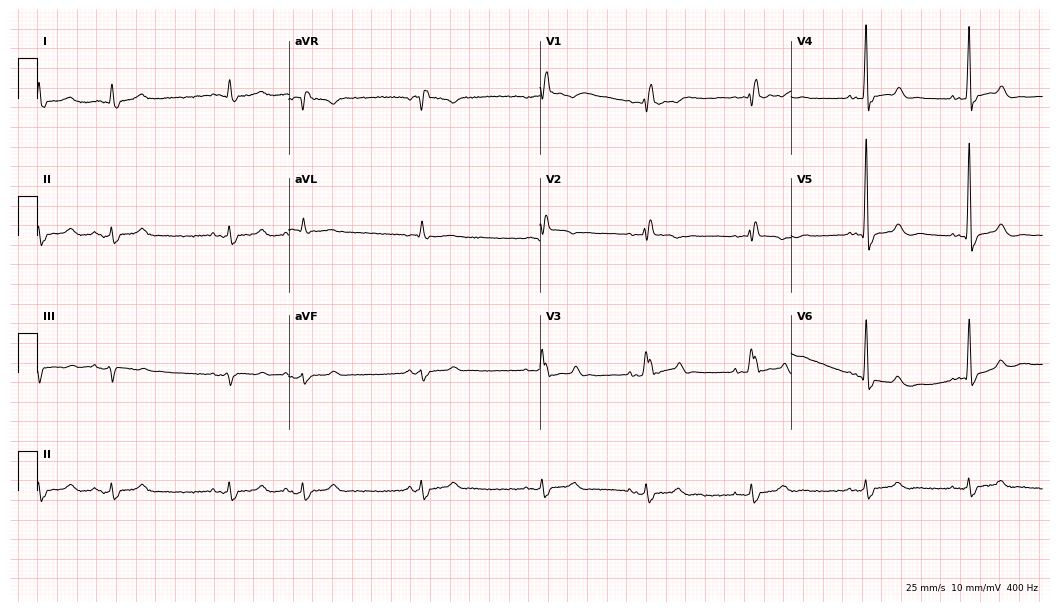
Standard 12-lead ECG recorded from a male, 80 years old (10.2-second recording at 400 Hz). The tracing shows right bundle branch block.